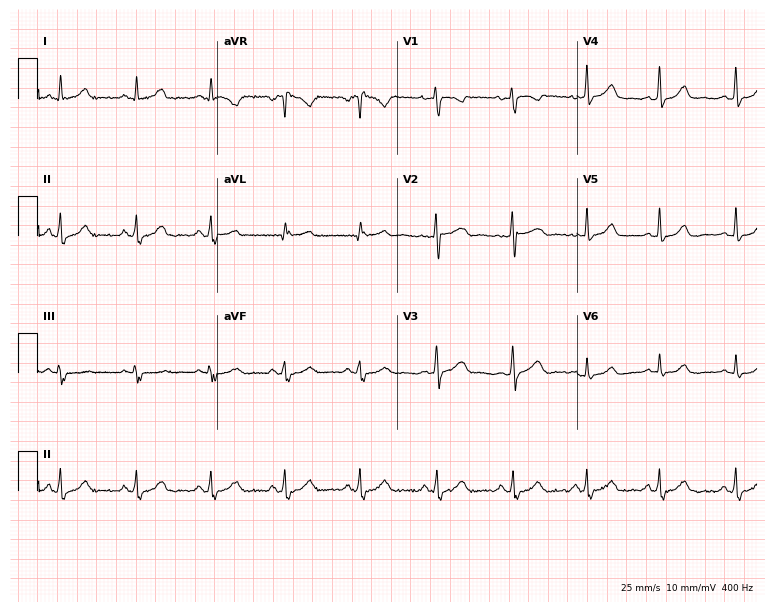
Electrocardiogram (7.3-second recording at 400 Hz), a 40-year-old woman. Overall reading on record: normal ECG.